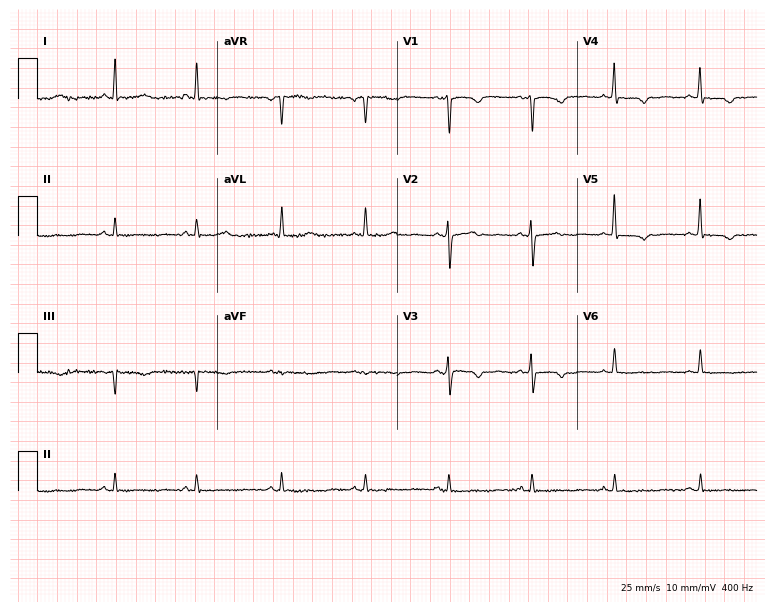
Standard 12-lead ECG recorded from a 45-year-old female patient (7.3-second recording at 400 Hz). None of these six findings is recorded: first-degree AV block, right bundle branch block (RBBB), left bundle branch block (LBBB), sinus bradycardia, atrial fibrillation (AF), sinus tachycardia. Findings outside these six are not listed.